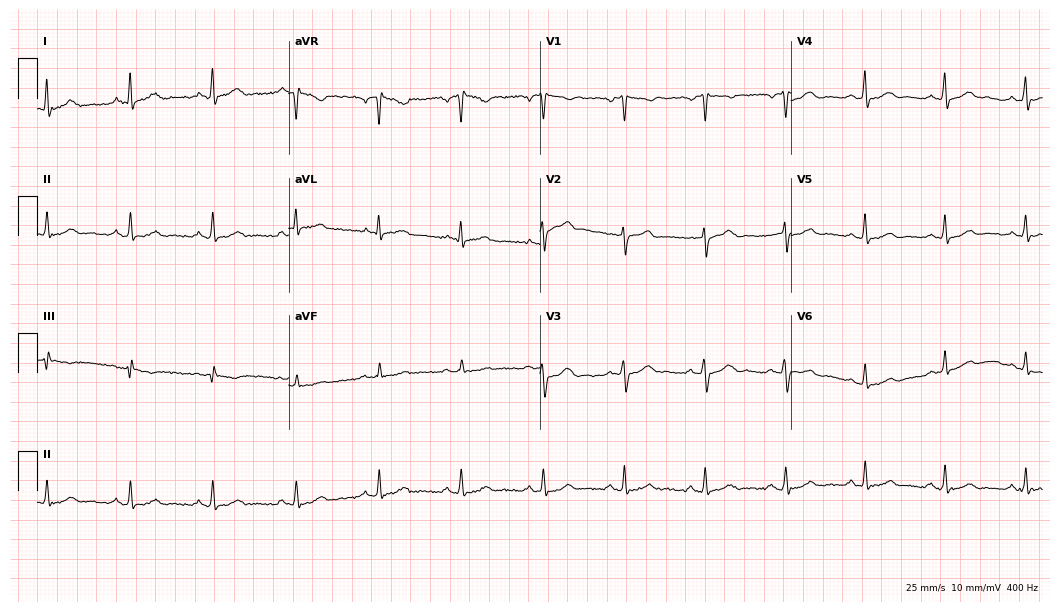
Resting 12-lead electrocardiogram. Patient: a 55-year-old man. Read as a normal ECG.